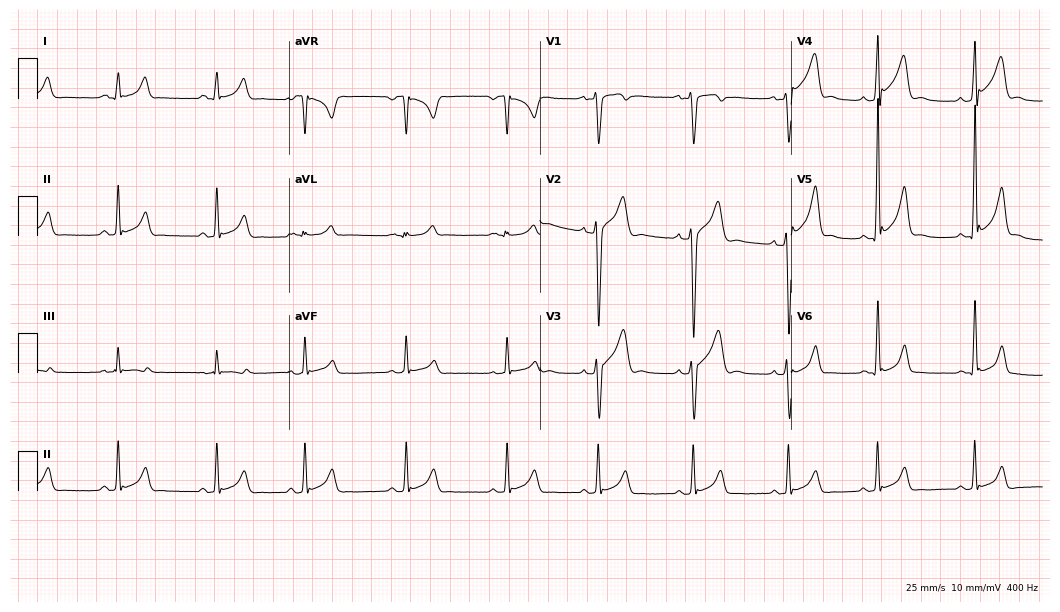
Resting 12-lead electrocardiogram. Patient: a 17-year-old male. None of these six findings is recorded: first-degree AV block, right bundle branch block, left bundle branch block, sinus bradycardia, atrial fibrillation, sinus tachycardia.